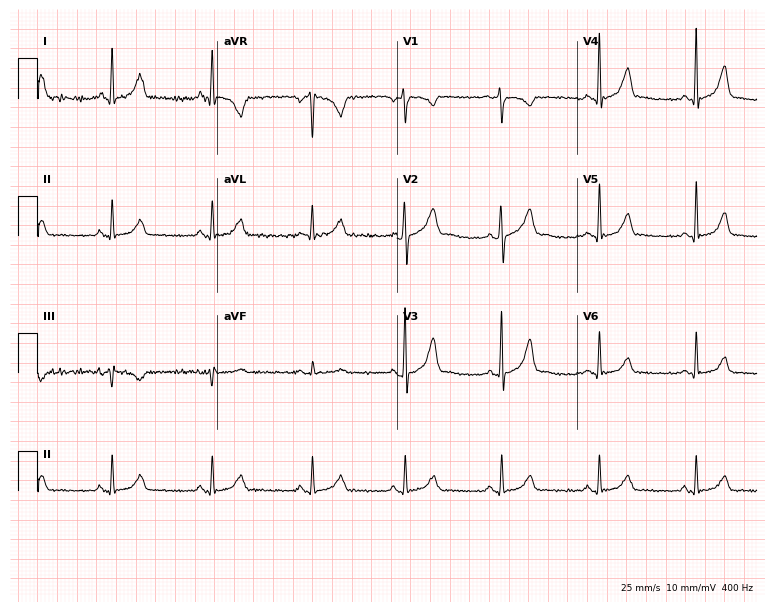
12-lead ECG (7.3-second recording at 400 Hz) from a 24-year-old female. Screened for six findings — first-degree AV block, right bundle branch block, left bundle branch block, sinus bradycardia, atrial fibrillation, sinus tachycardia — none is recorded.